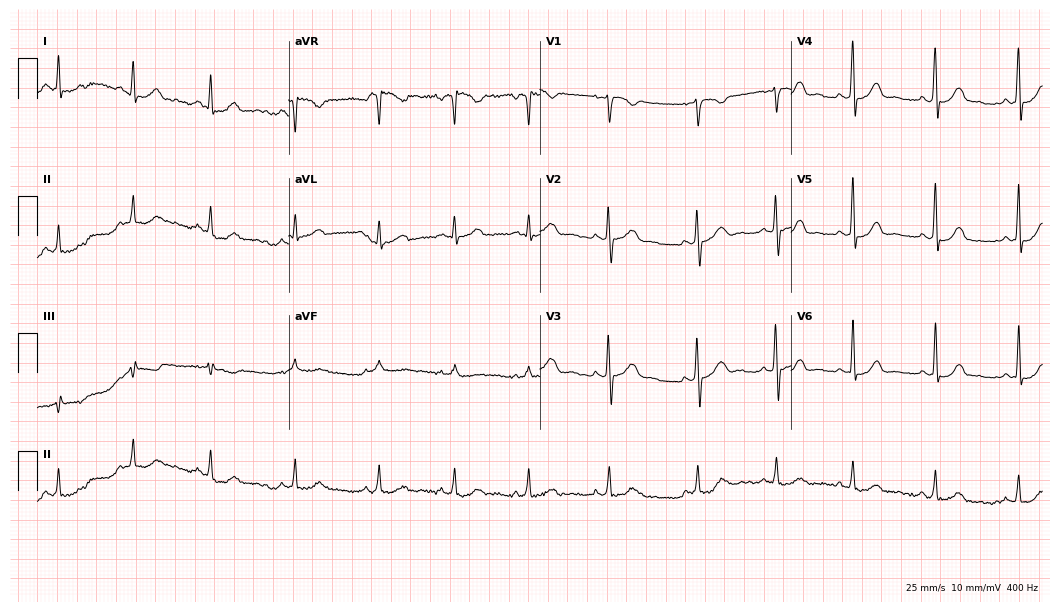
Resting 12-lead electrocardiogram. Patient: an 18-year-old female. None of these six findings is recorded: first-degree AV block, right bundle branch block, left bundle branch block, sinus bradycardia, atrial fibrillation, sinus tachycardia. Only these six findings were labelled.